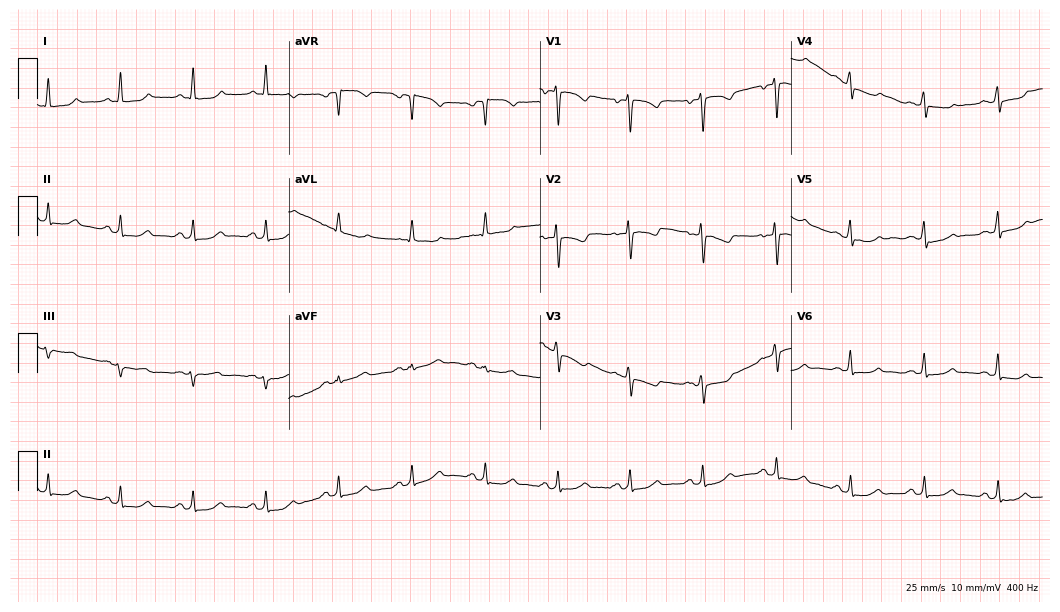
Standard 12-lead ECG recorded from a female, 42 years old (10.2-second recording at 400 Hz). Read as a normal ECG.